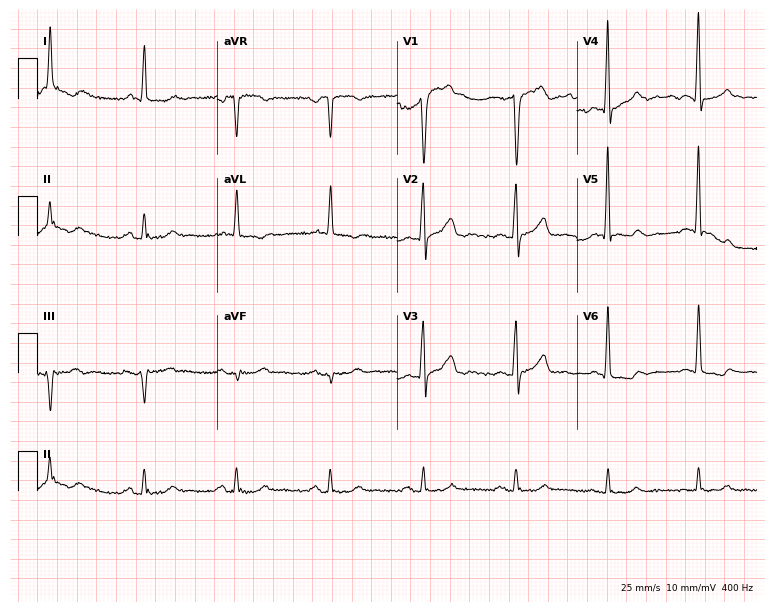
Standard 12-lead ECG recorded from a 70-year-old man. None of these six findings is recorded: first-degree AV block, right bundle branch block, left bundle branch block, sinus bradycardia, atrial fibrillation, sinus tachycardia.